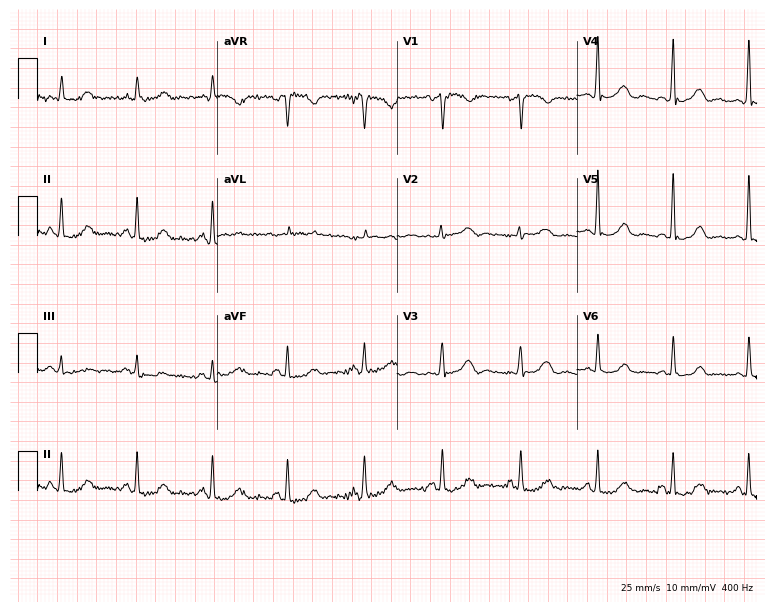
Electrocardiogram (7.3-second recording at 400 Hz), a woman, 45 years old. Of the six screened findings (first-degree AV block, right bundle branch block (RBBB), left bundle branch block (LBBB), sinus bradycardia, atrial fibrillation (AF), sinus tachycardia), none is recorded.